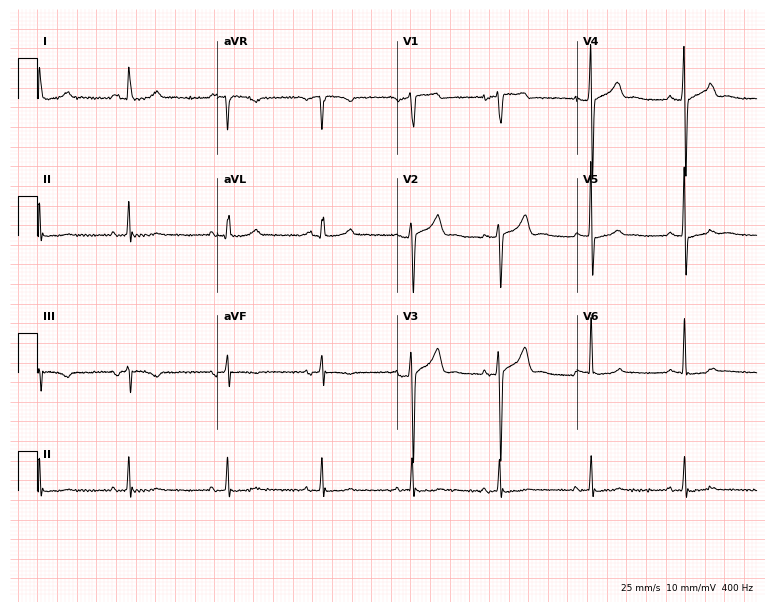
ECG (7.3-second recording at 400 Hz) — a 70-year-old female patient. Labelled as a normal ECG.